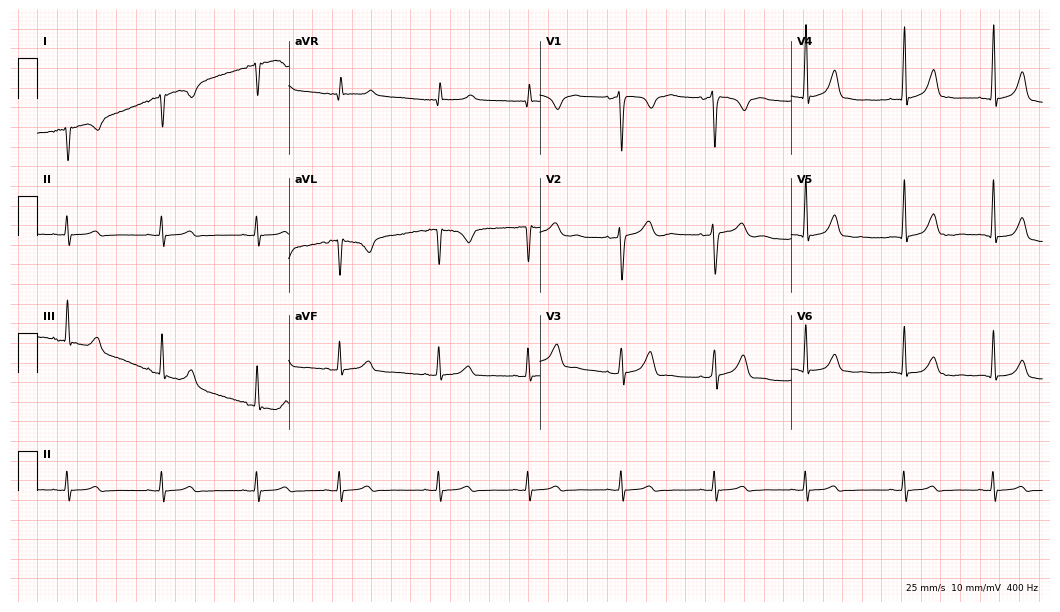
Resting 12-lead electrocardiogram. Patient: a 32-year-old female. None of these six findings is recorded: first-degree AV block, right bundle branch block, left bundle branch block, sinus bradycardia, atrial fibrillation, sinus tachycardia.